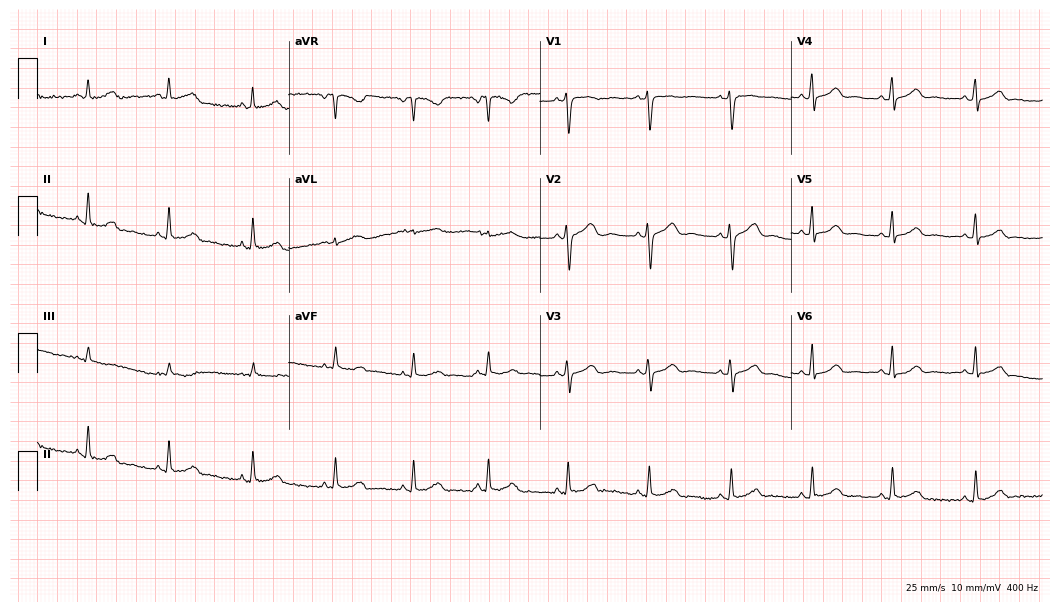
12-lead ECG from a 33-year-old female. Labelled as a normal ECG.